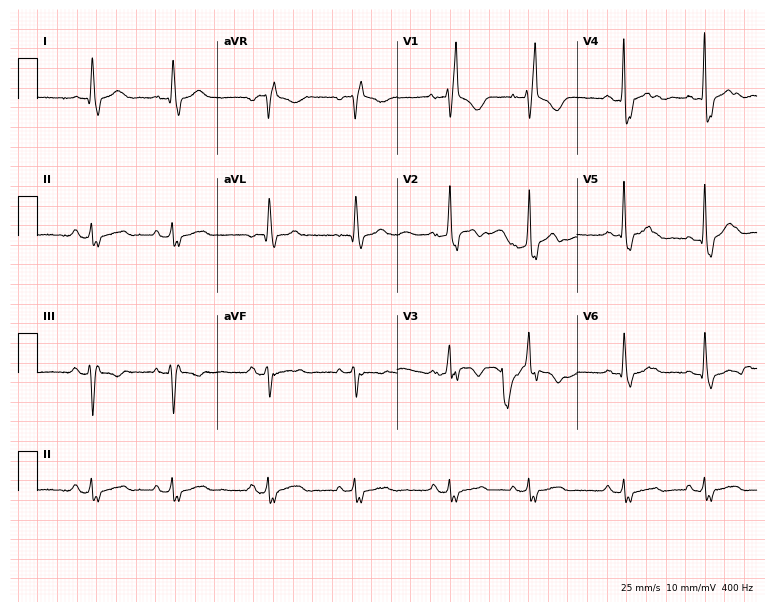
Electrocardiogram (7.3-second recording at 400 Hz), a 77-year-old man. Of the six screened findings (first-degree AV block, right bundle branch block, left bundle branch block, sinus bradycardia, atrial fibrillation, sinus tachycardia), none is recorded.